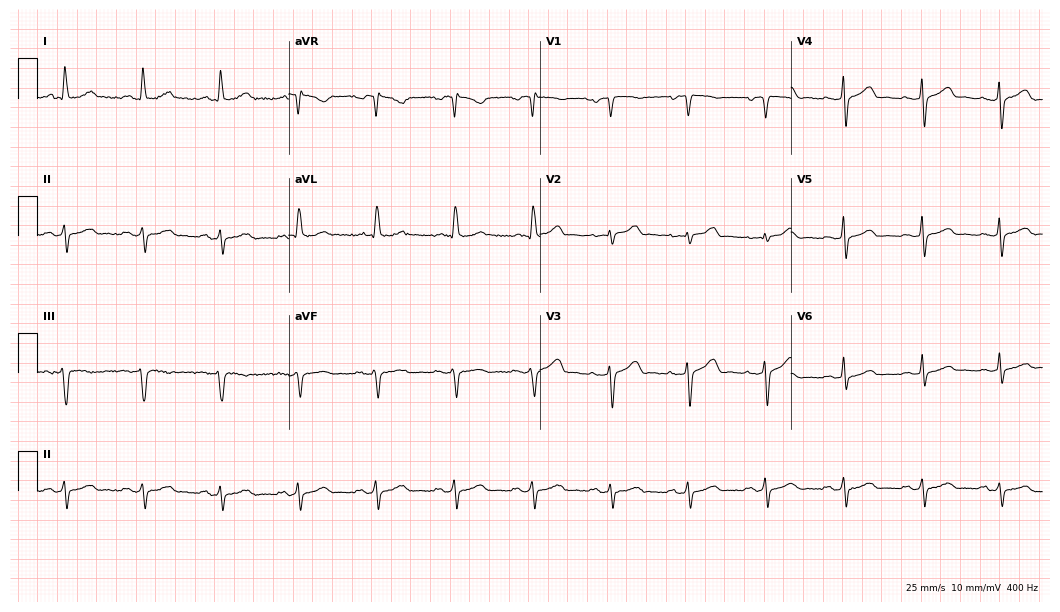
12-lead ECG from a female patient, 66 years old. No first-degree AV block, right bundle branch block, left bundle branch block, sinus bradycardia, atrial fibrillation or sinus tachycardia recorded for this tracing. Findings outside these six are not listed.